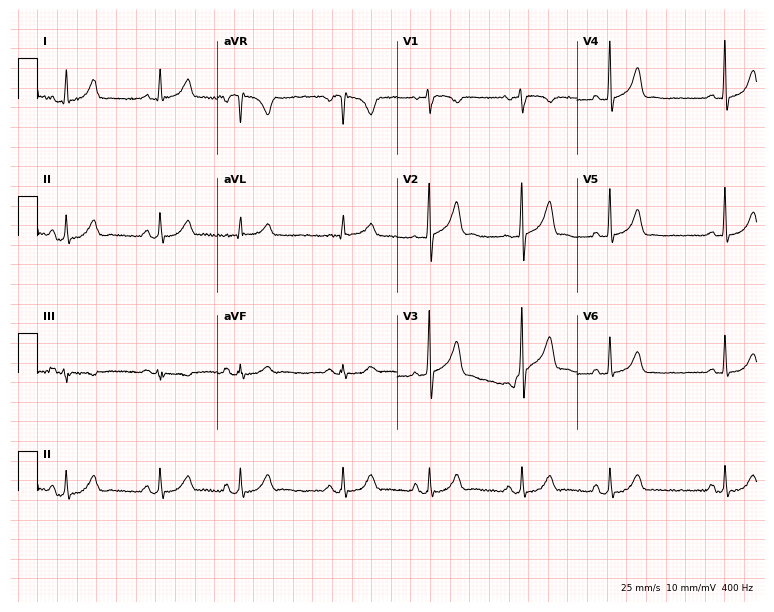
12-lead ECG from a woman, 44 years old (7.3-second recording at 400 Hz). No first-degree AV block, right bundle branch block, left bundle branch block, sinus bradycardia, atrial fibrillation or sinus tachycardia recorded for this tracing. Only these six findings were labelled.